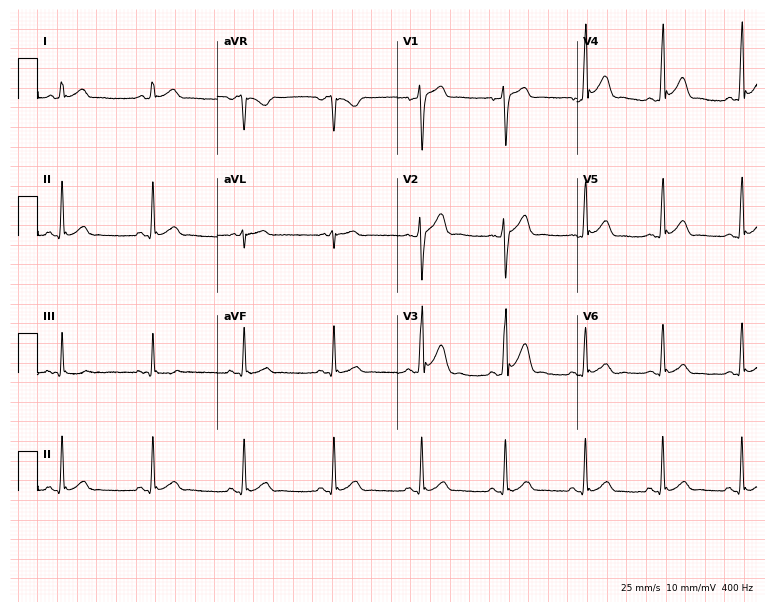
12-lead ECG from a male patient, 28 years old (7.3-second recording at 400 Hz). Recorded interpretation: within normal limits.